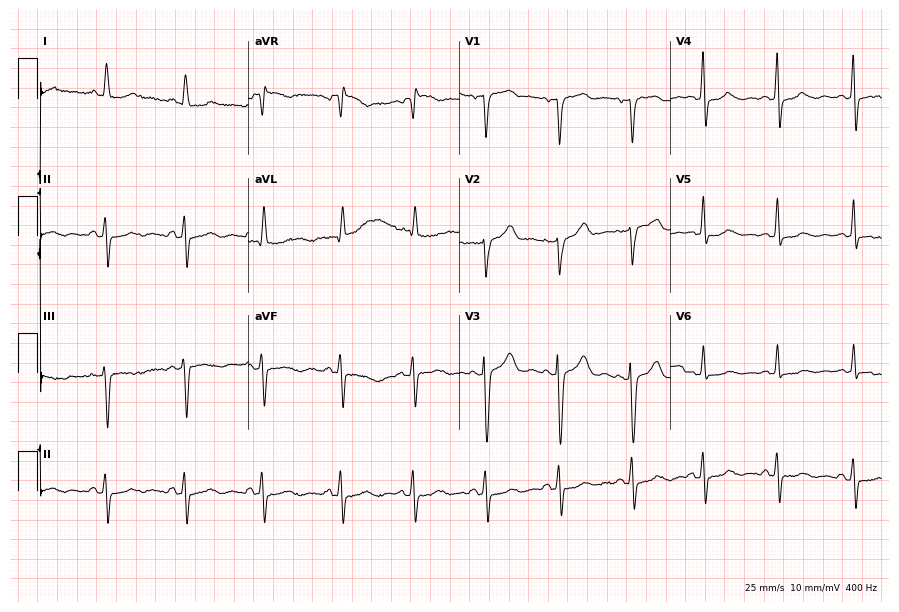
ECG (8.6-second recording at 400 Hz) — a female patient, 68 years old. Labelled as a normal ECG.